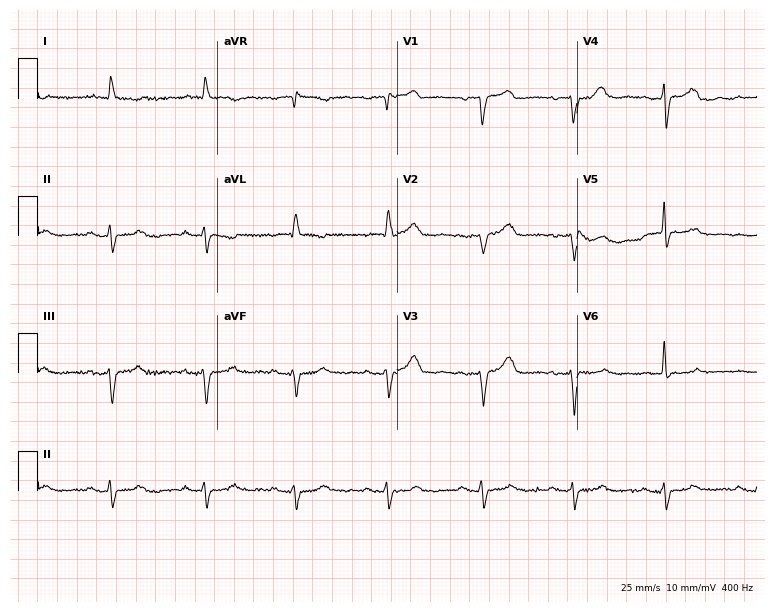
12-lead ECG (7.3-second recording at 400 Hz) from an 82-year-old female patient. Screened for six findings — first-degree AV block, right bundle branch block, left bundle branch block, sinus bradycardia, atrial fibrillation, sinus tachycardia — none is recorded. Other findings, if any, are not listed.